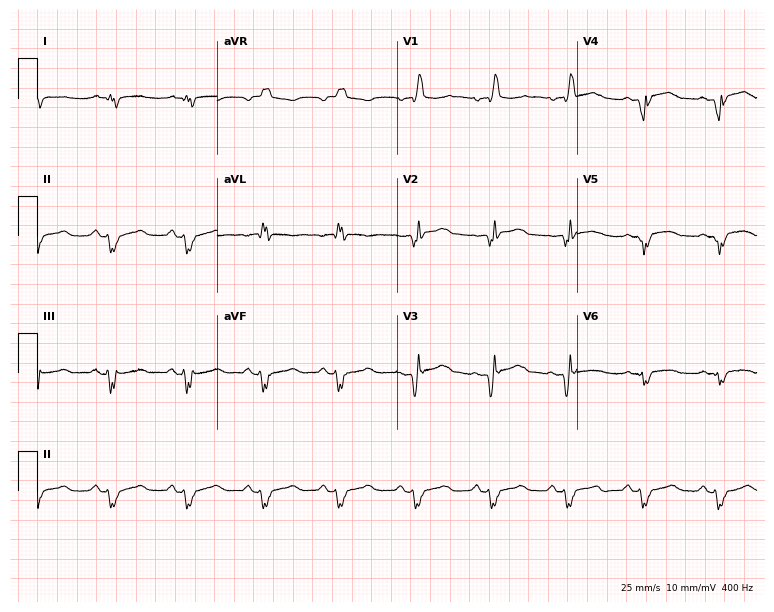
ECG — a male patient, 84 years old. Screened for six findings — first-degree AV block, right bundle branch block, left bundle branch block, sinus bradycardia, atrial fibrillation, sinus tachycardia — none is recorded.